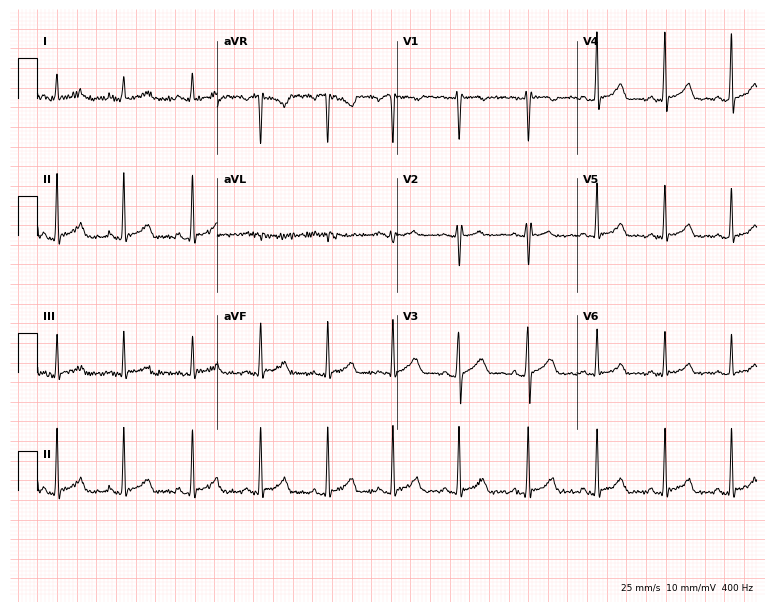
Electrocardiogram (7.3-second recording at 400 Hz), a 25-year-old female patient. Of the six screened findings (first-degree AV block, right bundle branch block, left bundle branch block, sinus bradycardia, atrial fibrillation, sinus tachycardia), none is recorded.